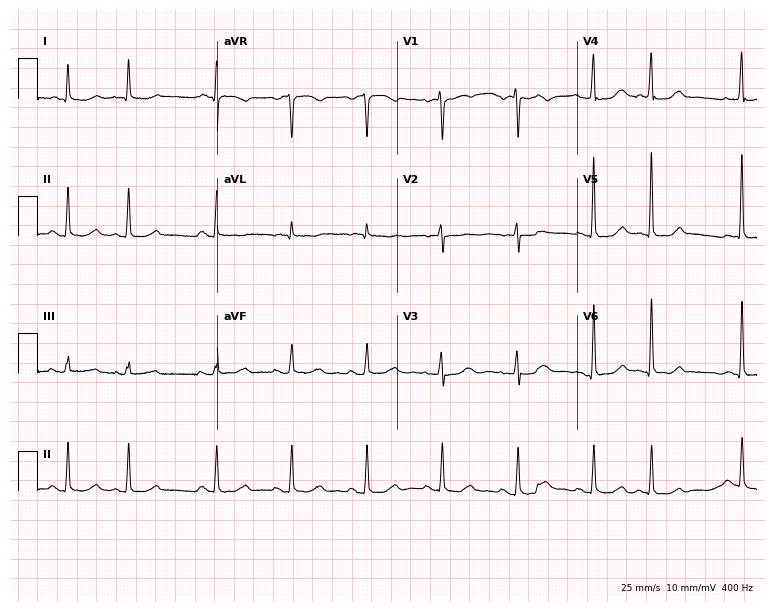
12-lead ECG from a female patient, 79 years old (7.3-second recording at 400 Hz). No first-degree AV block, right bundle branch block (RBBB), left bundle branch block (LBBB), sinus bradycardia, atrial fibrillation (AF) or sinus tachycardia recorded for this tracing. Findings outside these six are not listed.